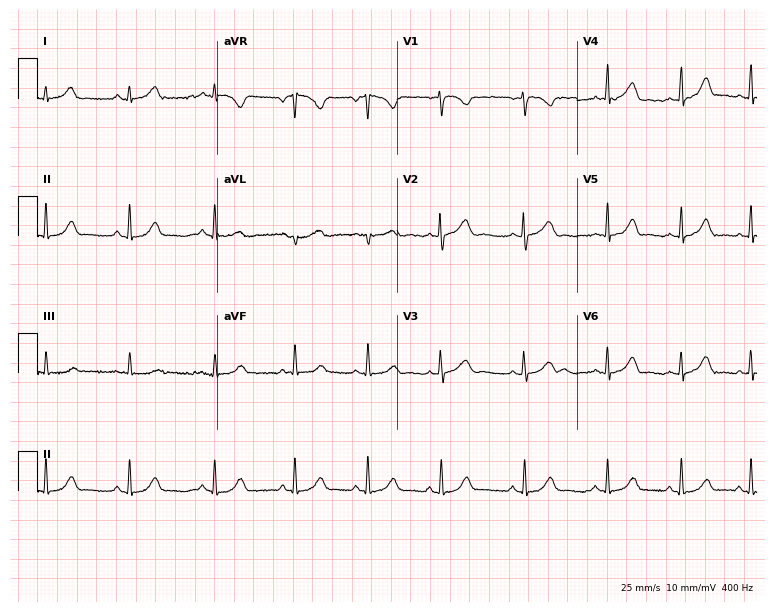
ECG (7.3-second recording at 400 Hz) — a female patient, 21 years old. Labelled as a normal ECG.